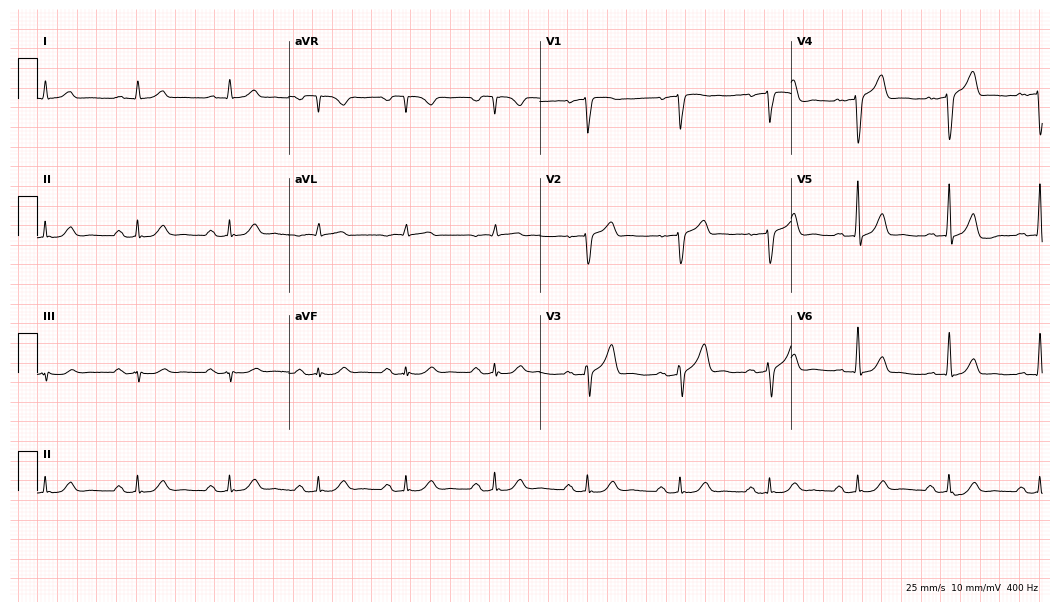
ECG — a 74-year-old male. Labelled as a normal ECG.